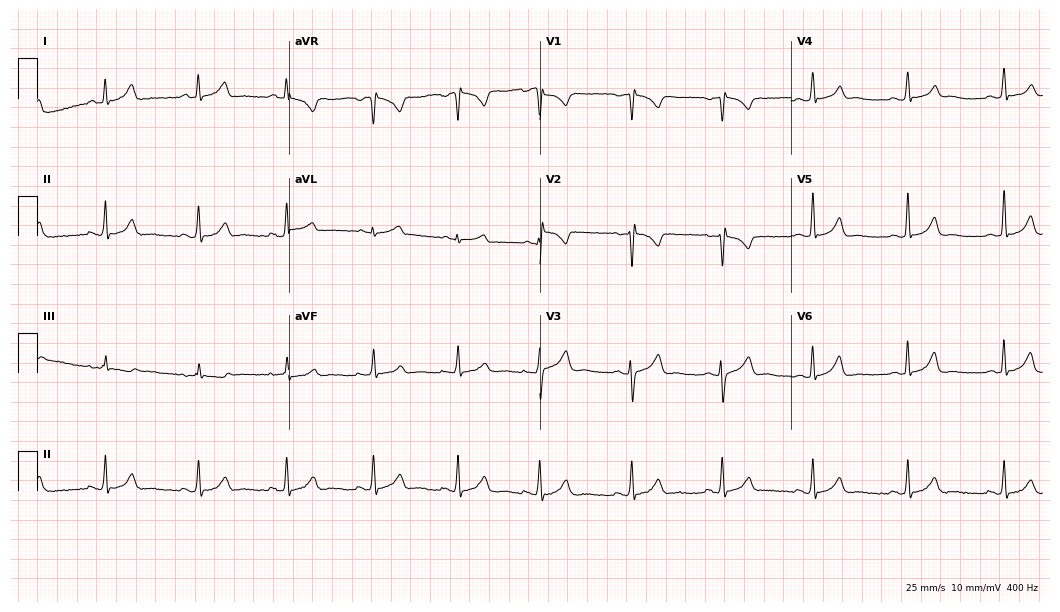
12-lead ECG from a 27-year-old woman. Screened for six findings — first-degree AV block, right bundle branch block, left bundle branch block, sinus bradycardia, atrial fibrillation, sinus tachycardia — none is recorded. Other findings, if any, are not listed.